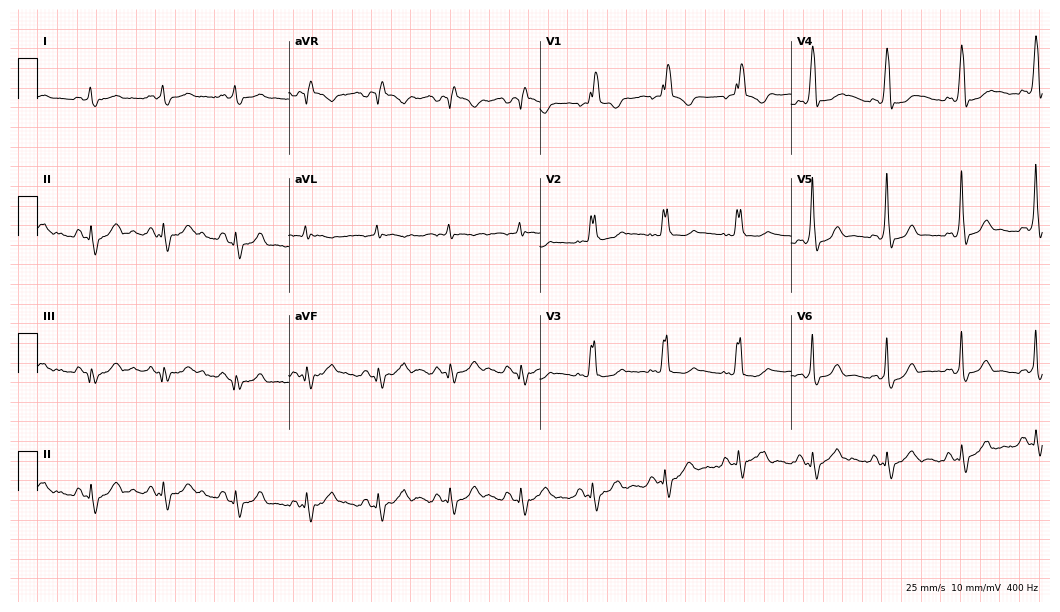
12-lead ECG from a 56-year-old female patient. Screened for six findings — first-degree AV block, right bundle branch block, left bundle branch block, sinus bradycardia, atrial fibrillation, sinus tachycardia — none is recorded.